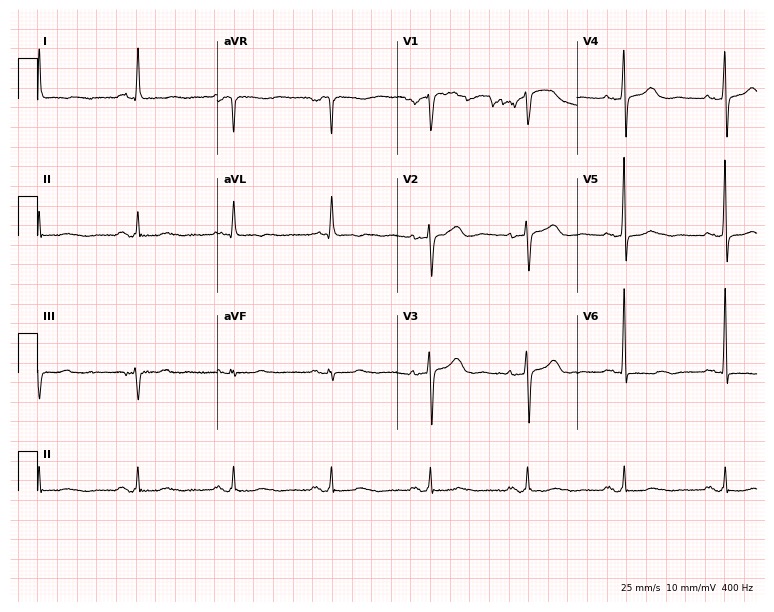
Electrocardiogram, a 72-year-old woman. Of the six screened findings (first-degree AV block, right bundle branch block, left bundle branch block, sinus bradycardia, atrial fibrillation, sinus tachycardia), none is recorded.